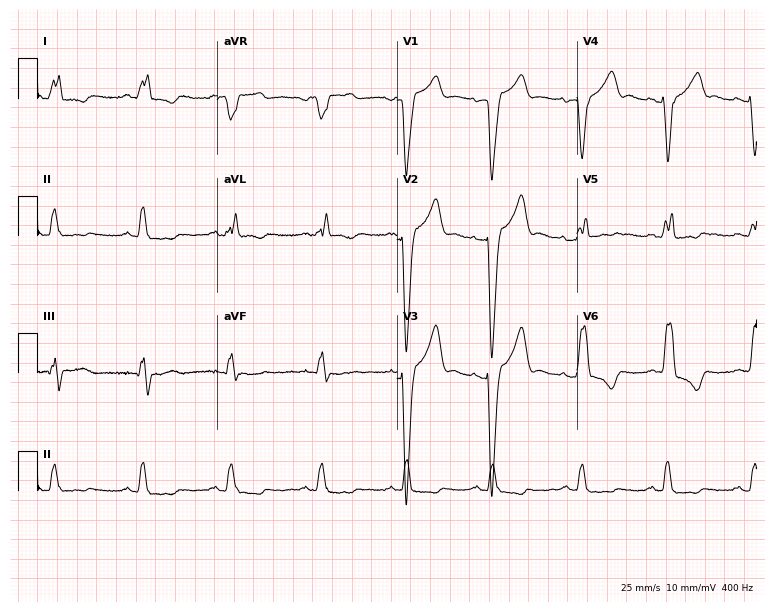
12-lead ECG from a female patient, 50 years old. Findings include left bundle branch block (LBBB).